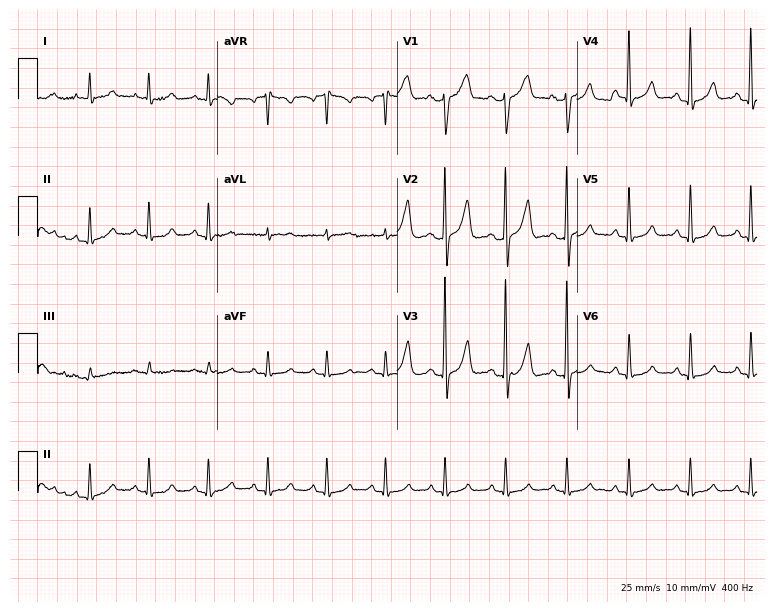
ECG — a 68-year-old female patient. Screened for six findings — first-degree AV block, right bundle branch block, left bundle branch block, sinus bradycardia, atrial fibrillation, sinus tachycardia — none is recorded. Only these six findings were labelled.